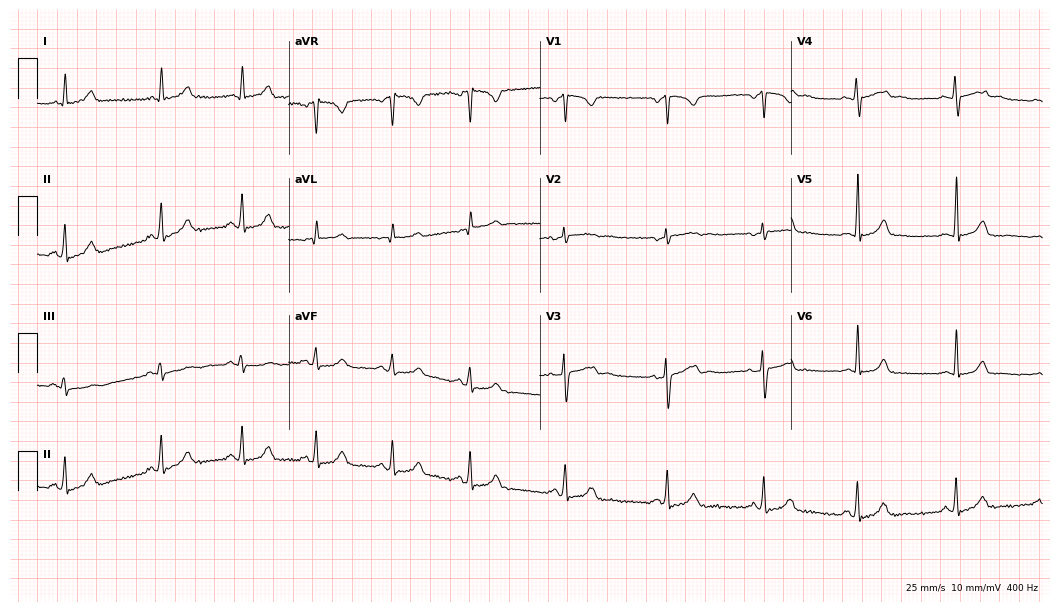
Electrocardiogram, a 19-year-old female. Overall reading on record: normal ECG.